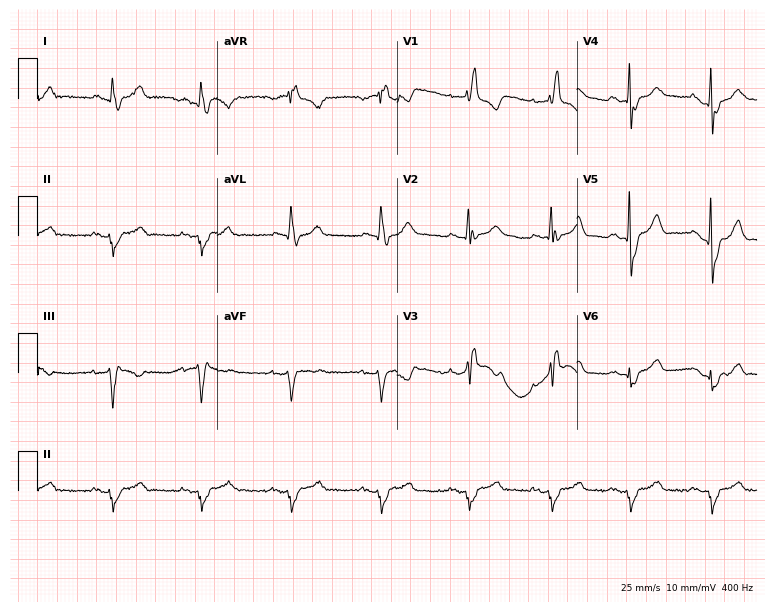
Standard 12-lead ECG recorded from a 66-year-old male (7.3-second recording at 400 Hz). The tracing shows right bundle branch block (RBBB).